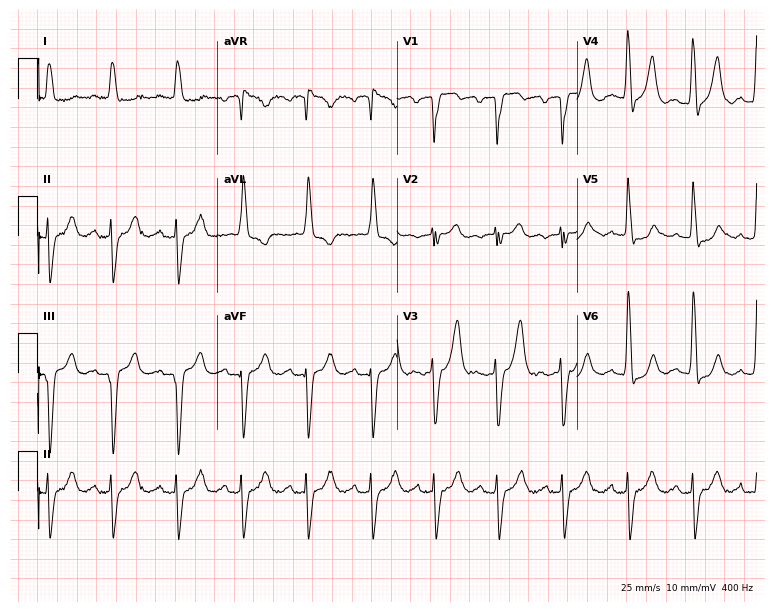
12-lead ECG from a male, 81 years old (7.3-second recording at 400 Hz). No first-degree AV block, right bundle branch block (RBBB), left bundle branch block (LBBB), sinus bradycardia, atrial fibrillation (AF) or sinus tachycardia recorded for this tracing. Other findings, if any, are not listed.